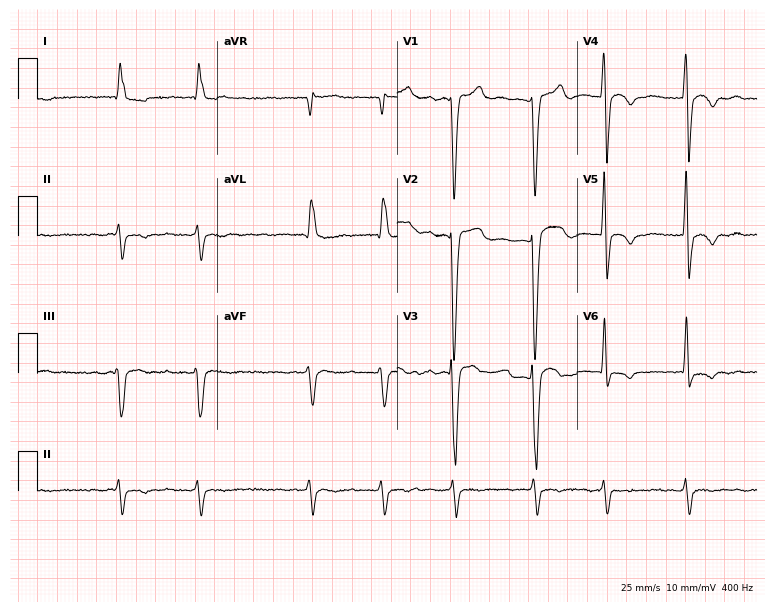
Electrocardiogram (7.3-second recording at 400 Hz), a 78-year-old male patient. Interpretation includes atrial fibrillation (AF).